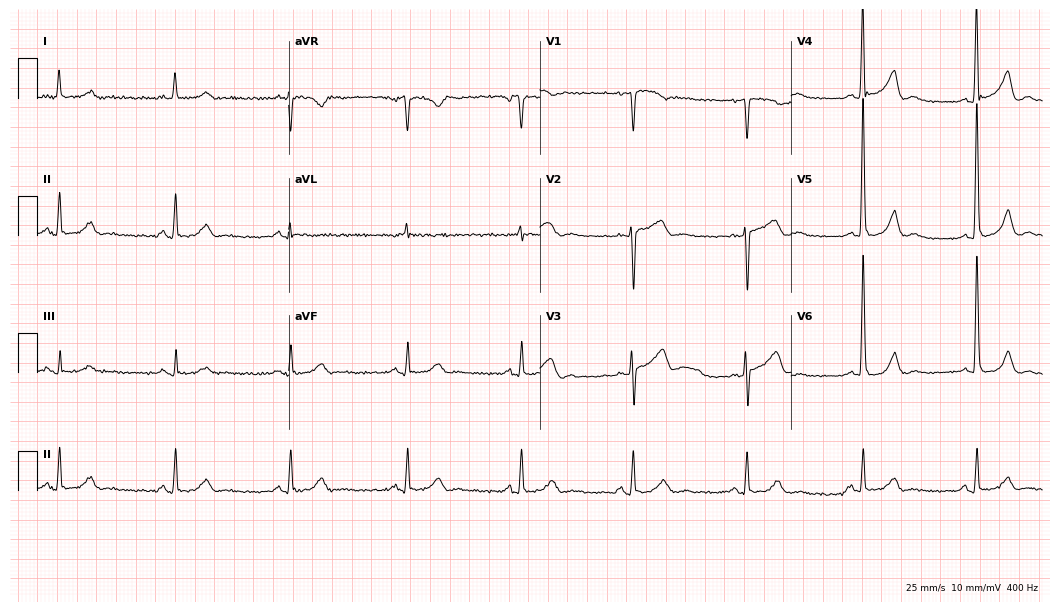
12-lead ECG (10.2-second recording at 400 Hz) from a male, 84 years old. Labelled as a normal ECG.